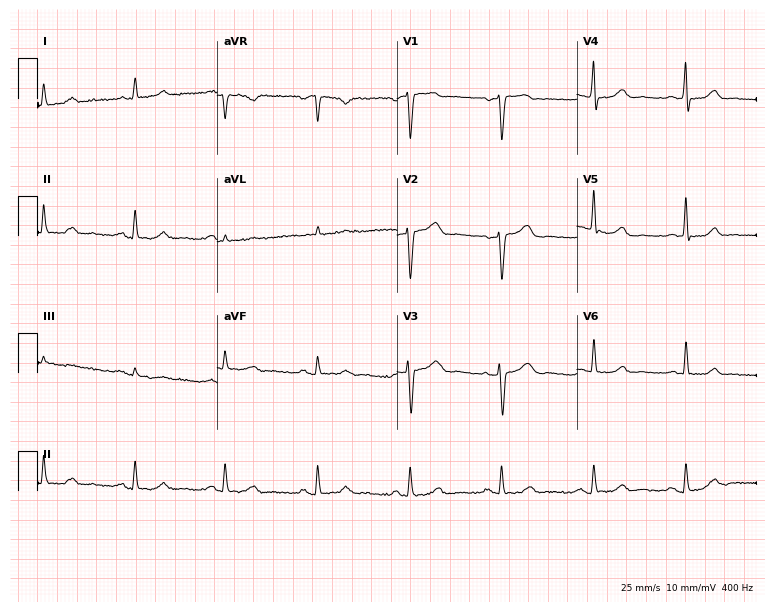
Resting 12-lead electrocardiogram (7.3-second recording at 400 Hz). Patient: a 47-year-old female. None of these six findings is recorded: first-degree AV block, right bundle branch block, left bundle branch block, sinus bradycardia, atrial fibrillation, sinus tachycardia.